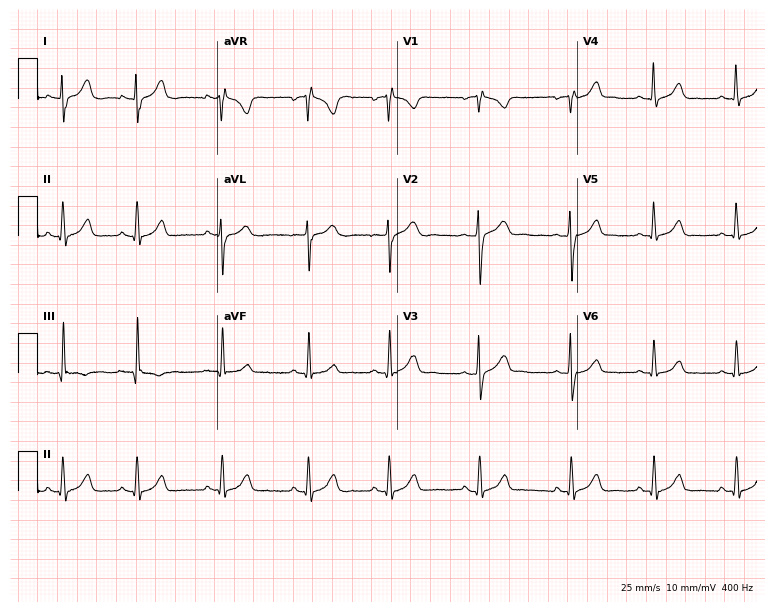
12-lead ECG from a 21-year-old female. Labelled as a normal ECG.